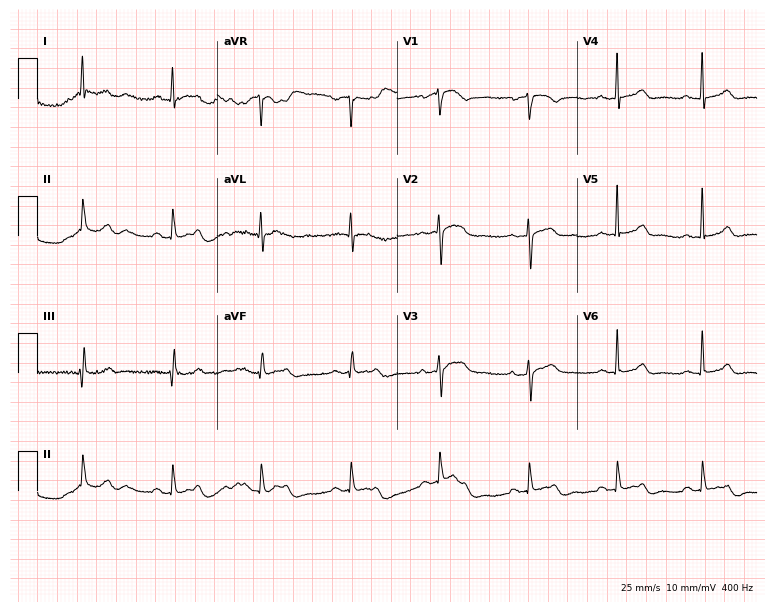
Standard 12-lead ECG recorded from a 74-year-old man (7.3-second recording at 400 Hz). Read as a normal ECG.